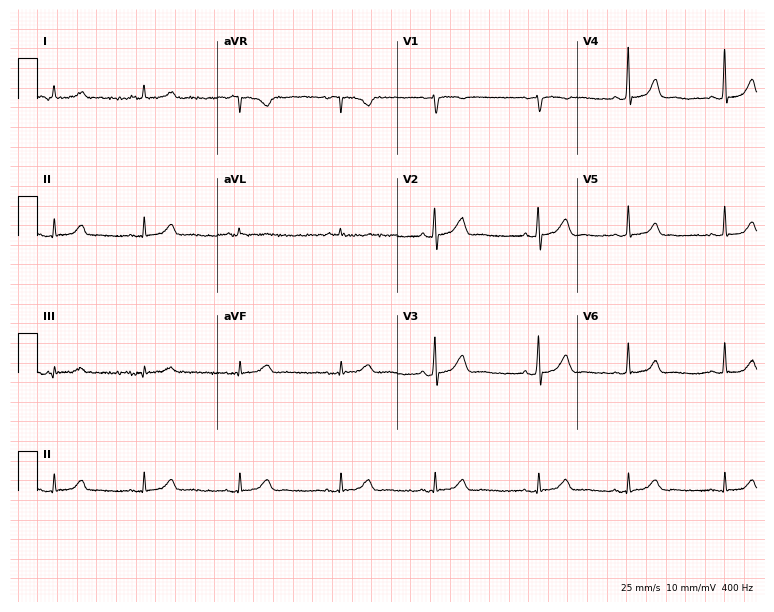
Electrocardiogram, a 58-year-old male patient. Overall reading on record: normal ECG.